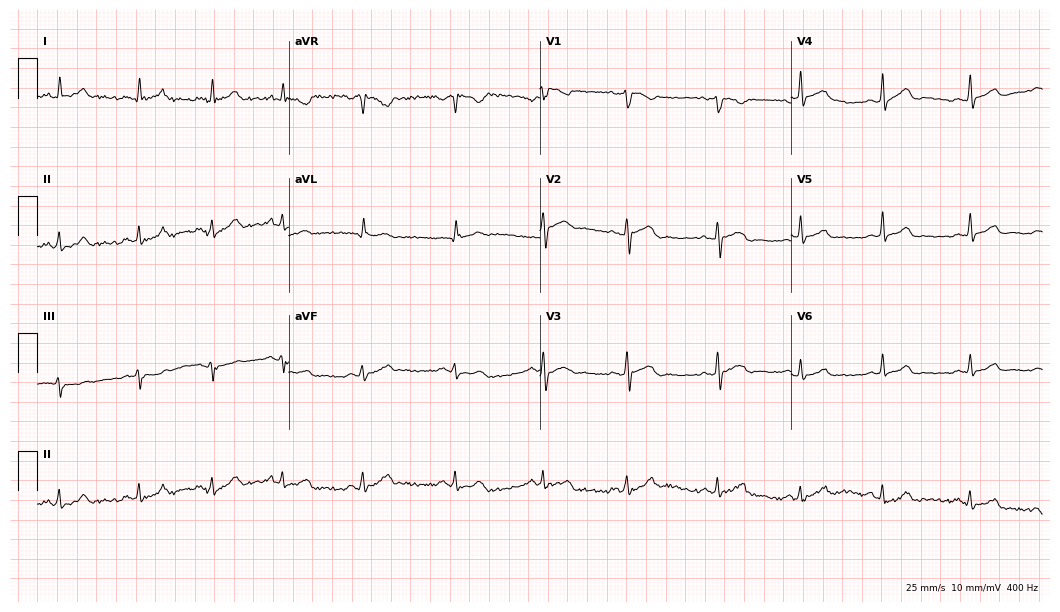
Electrocardiogram (10.2-second recording at 400 Hz), a female patient, 33 years old. Overall reading on record: normal ECG.